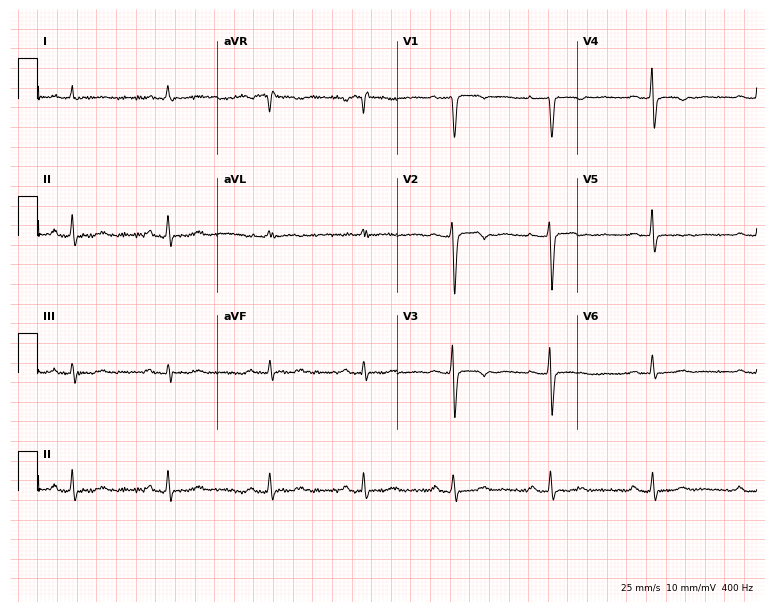
12-lead ECG from a woman, 56 years old (7.3-second recording at 400 Hz). No first-degree AV block, right bundle branch block (RBBB), left bundle branch block (LBBB), sinus bradycardia, atrial fibrillation (AF) or sinus tachycardia recorded for this tracing. Only these six findings were labelled.